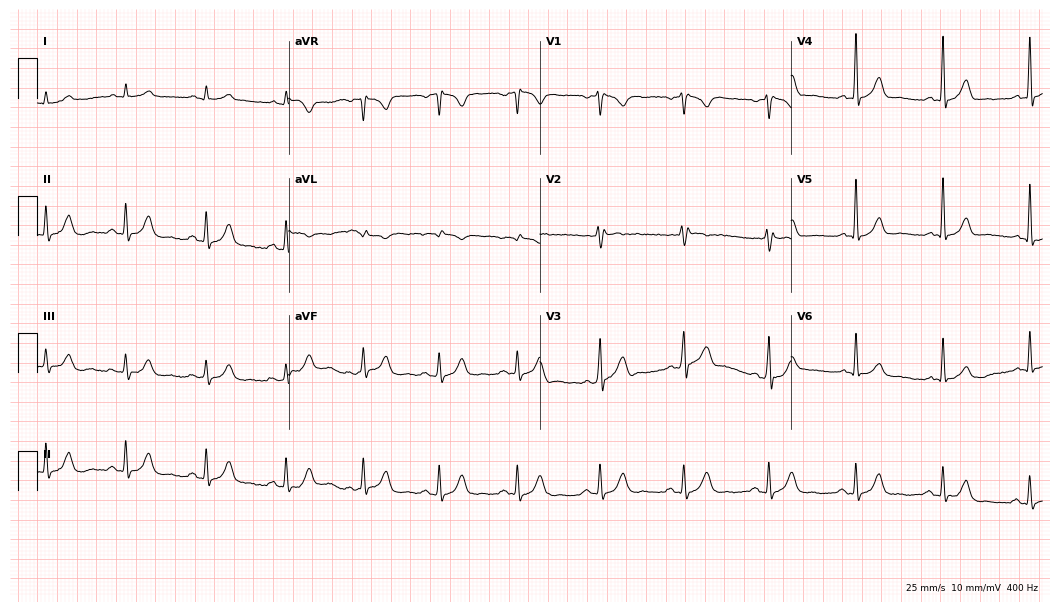
Electrocardiogram (10.2-second recording at 400 Hz), a man, 74 years old. Overall reading on record: normal ECG.